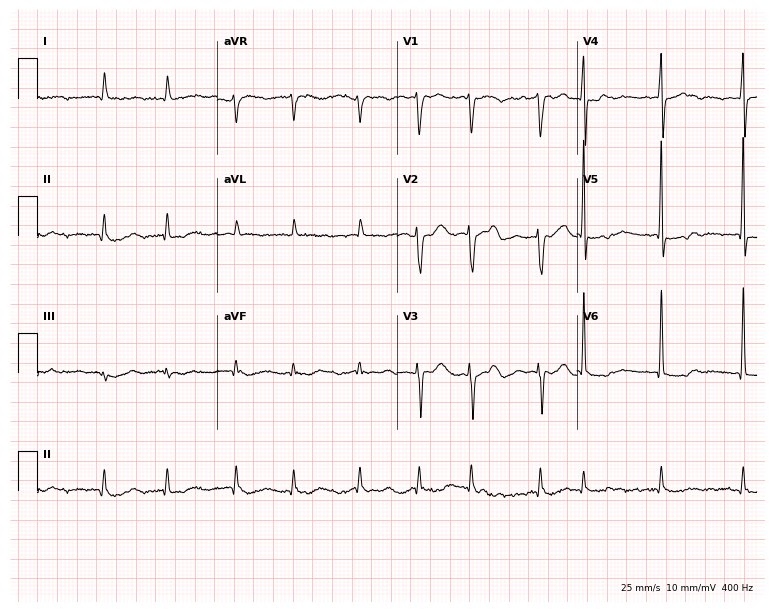
Resting 12-lead electrocardiogram (7.3-second recording at 400 Hz). Patient: a male, 74 years old. The tracing shows atrial fibrillation (AF).